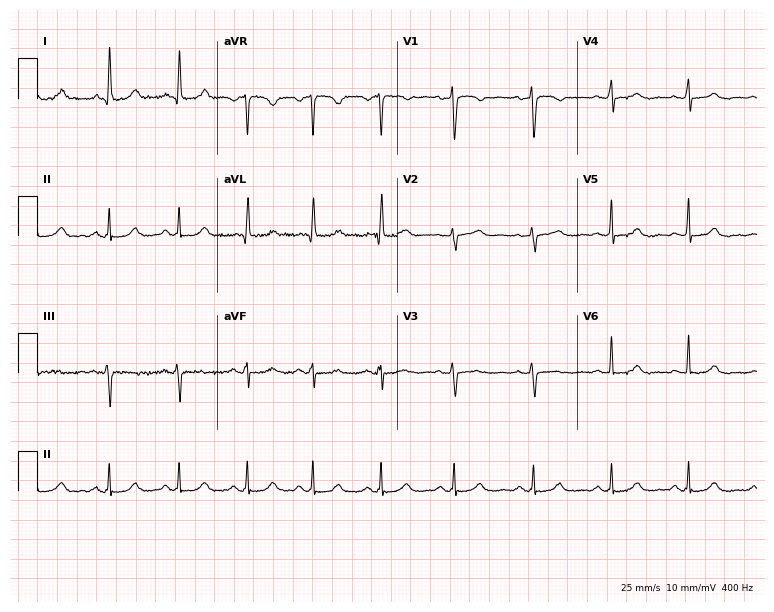
12-lead ECG from a female patient, 51 years old (7.3-second recording at 400 Hz). Recorded interpretation: within normal limits.